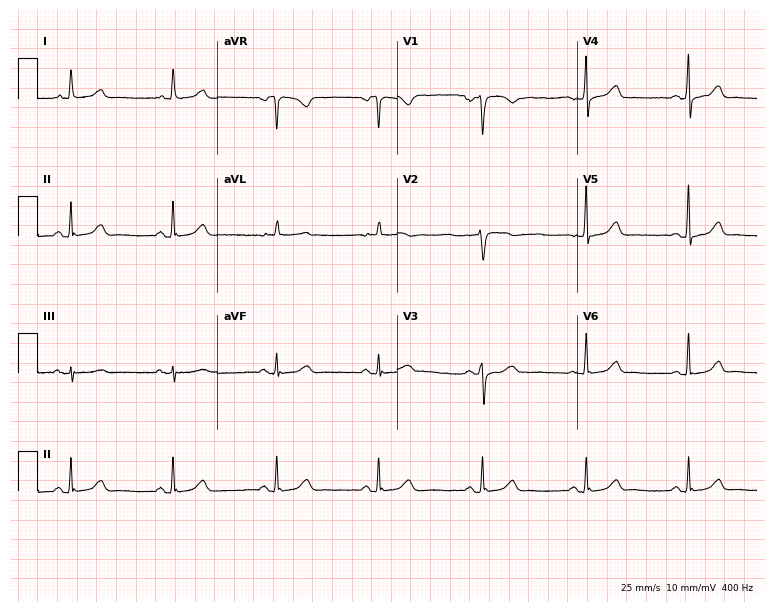
12-lead ECG from a 56-year-old female patient (7.3-second recording at 400 Hz). Recorded interpretation: within normal limits.